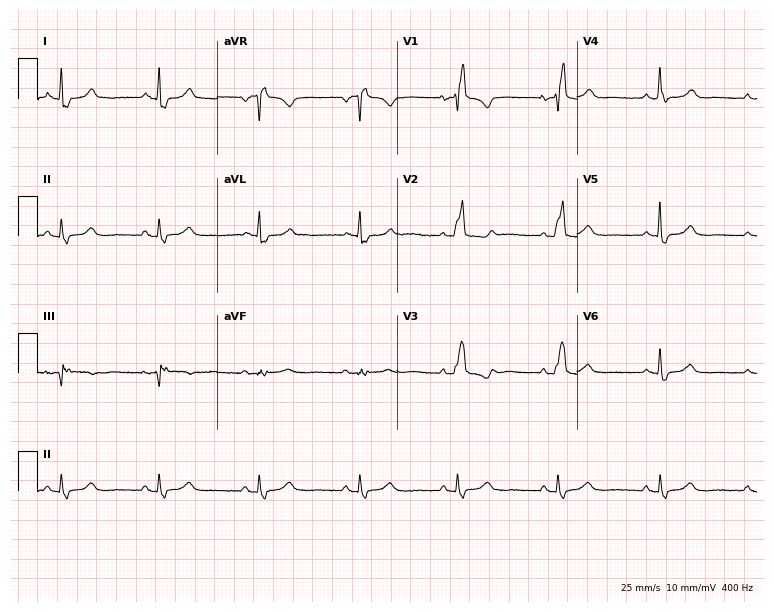
12-lead ECG from a 59-year-old woman. Findings include right bundle branch block (RBBB).